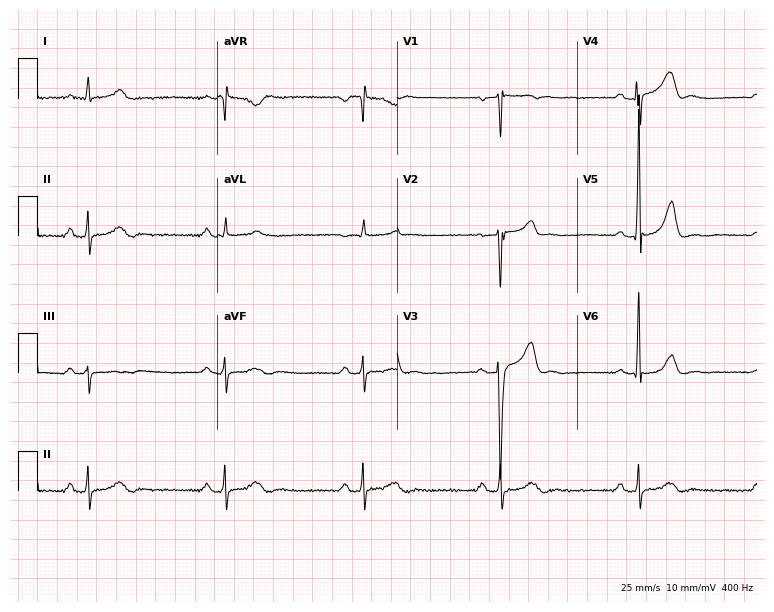
Standard 12-lead ECG recorded from a 55-year-old man. The tracing shows sinus bradycardia (a sinus rate of 50 beats per minute or less).